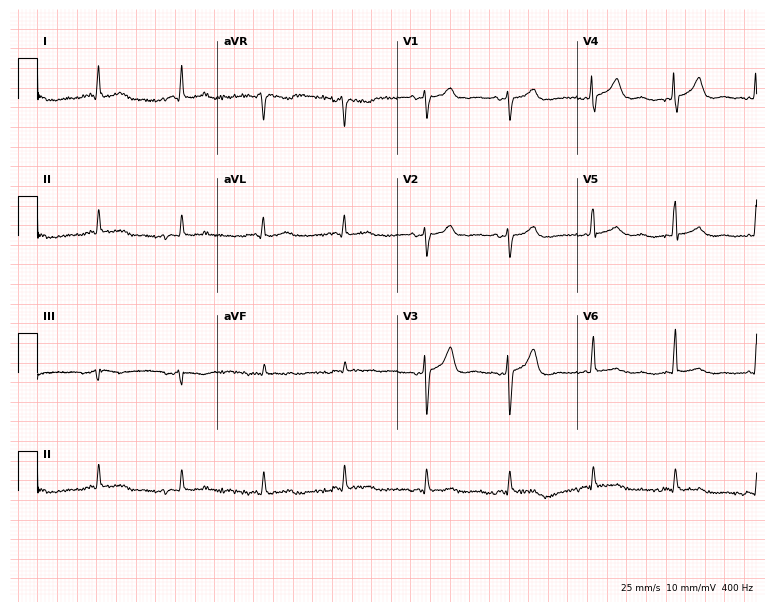
12-lead ECG from a 55-year-old woman (7.3-second recording at 400 Hz). Recorded interpretation: within normal limits.